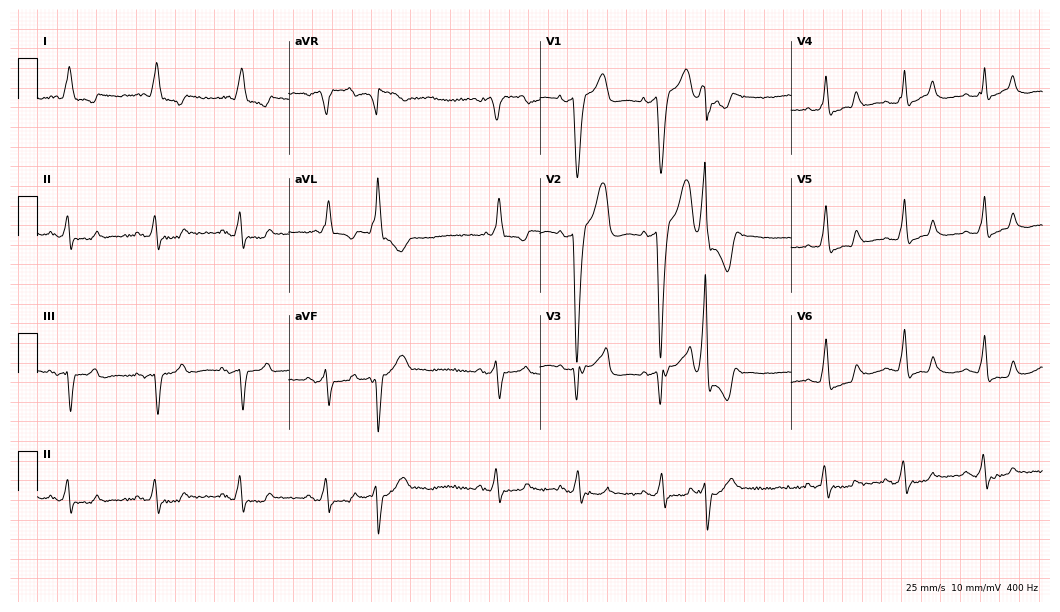
ECG (10.2-second recording at 400 Hz) — a 76-year-old man. Findings include left bundle branch block (LBBB).